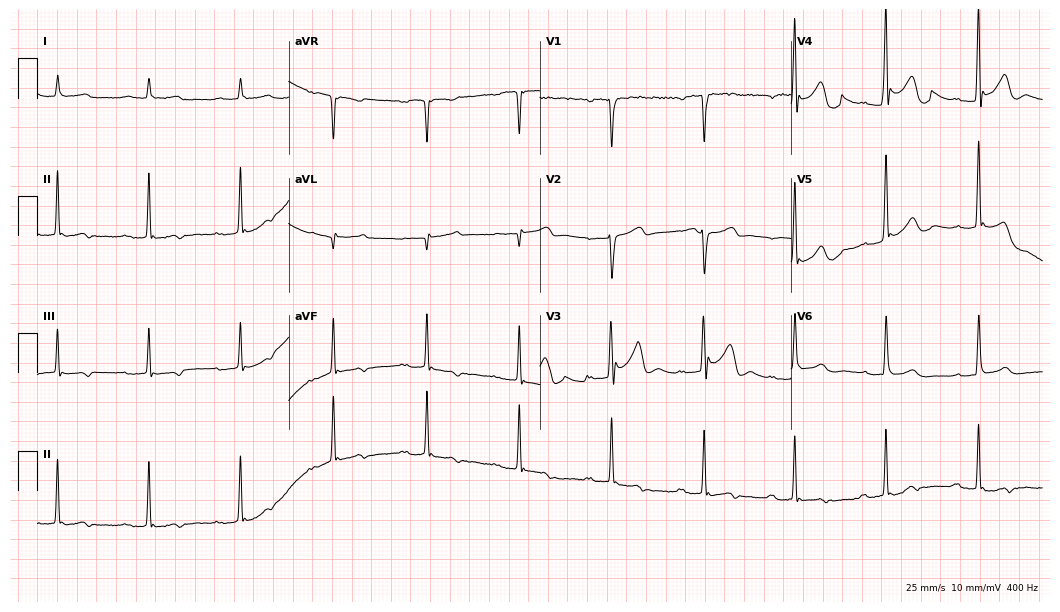
12-lead ECG from an 82-year-old male patient (10.2-second recording at 400 Hz). No first-degree AV block, right bundle branch block, left bundle branch block, sinus bradycardia, atrial fibrillation or sinus tachycardia recorded for this tracing. Findings outside these six are not listed.